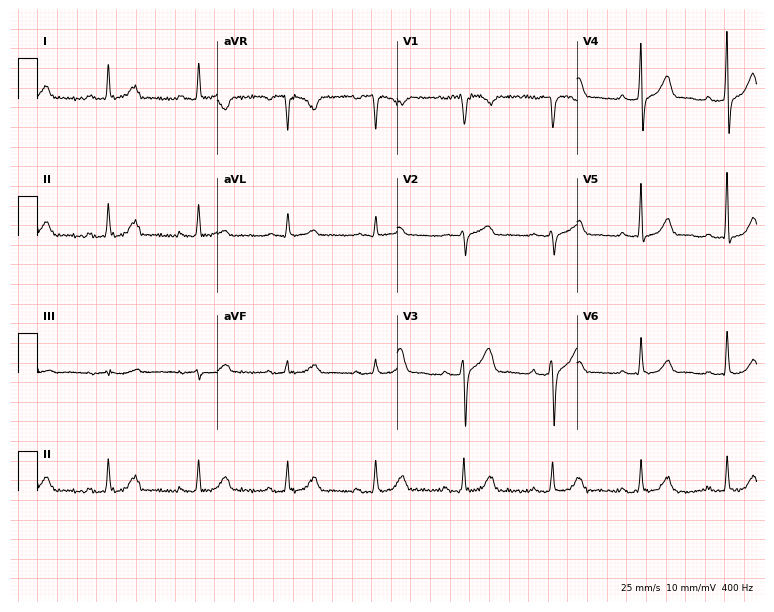
ECG — a male, 68 years old. Labelled as a normal ECG.